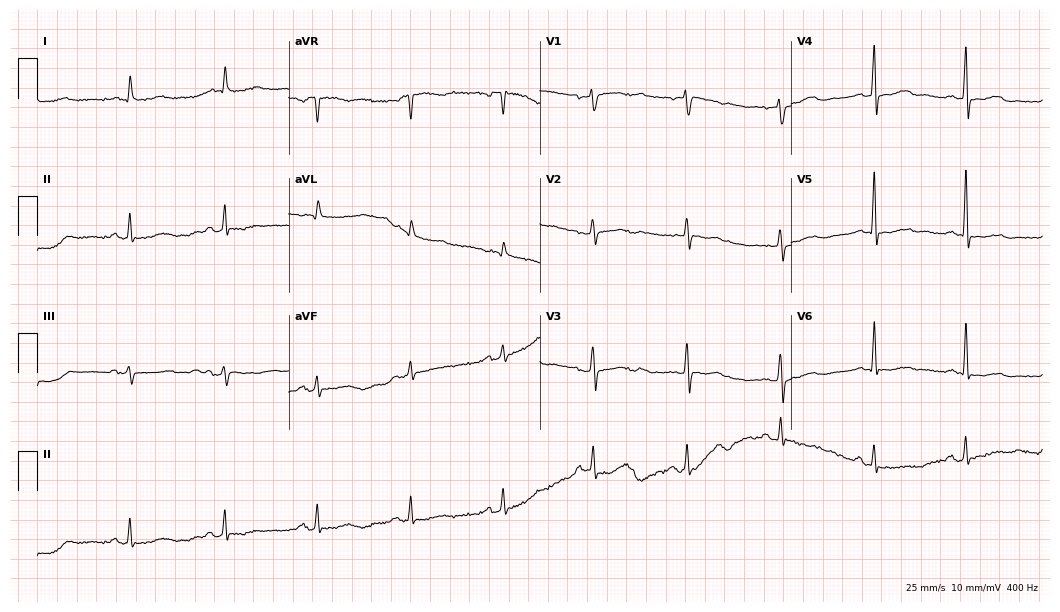
ECG (10.2-second recording at 400 Hz) — a 63-year-old female. Labelled as a normal ECG.